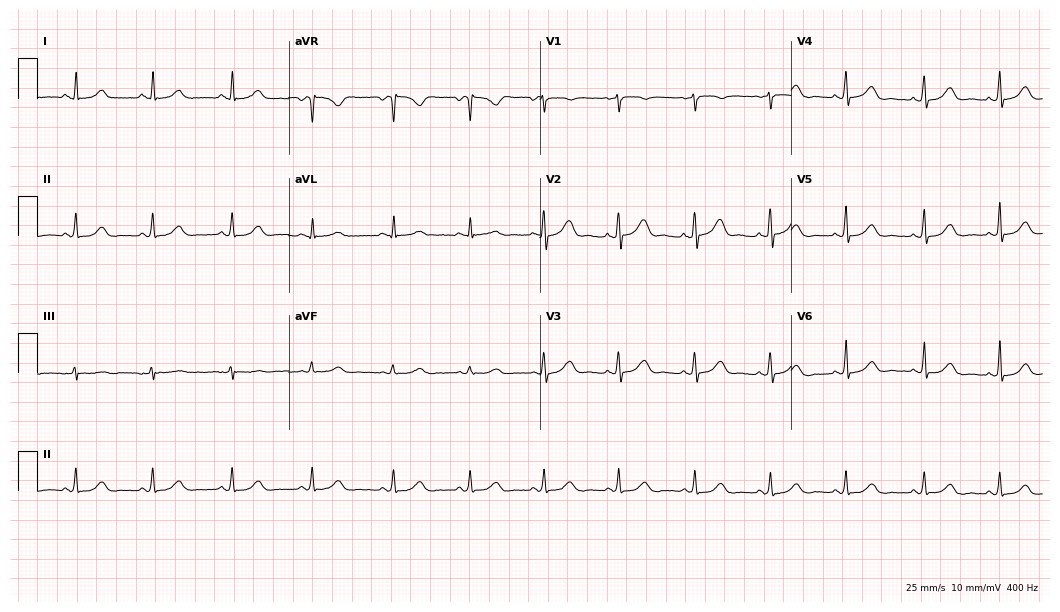
12-lead ECG (10.2-second recording at 400 Hz) from a 54-year-old woman. Labelled as a normal ECG.